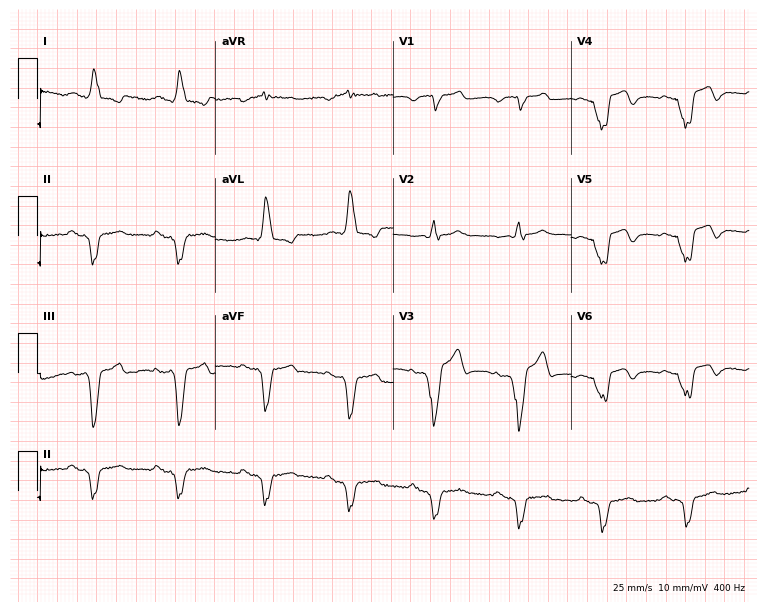
ECG — a 79-year-old male patient. Screened for six findings — first-degree AV block, right bundle branch block, left bundle branch block, sinus bradycardia, atrial fibrillation, sinus tachycardia — none is recorded. Findings outside these six are not listed.